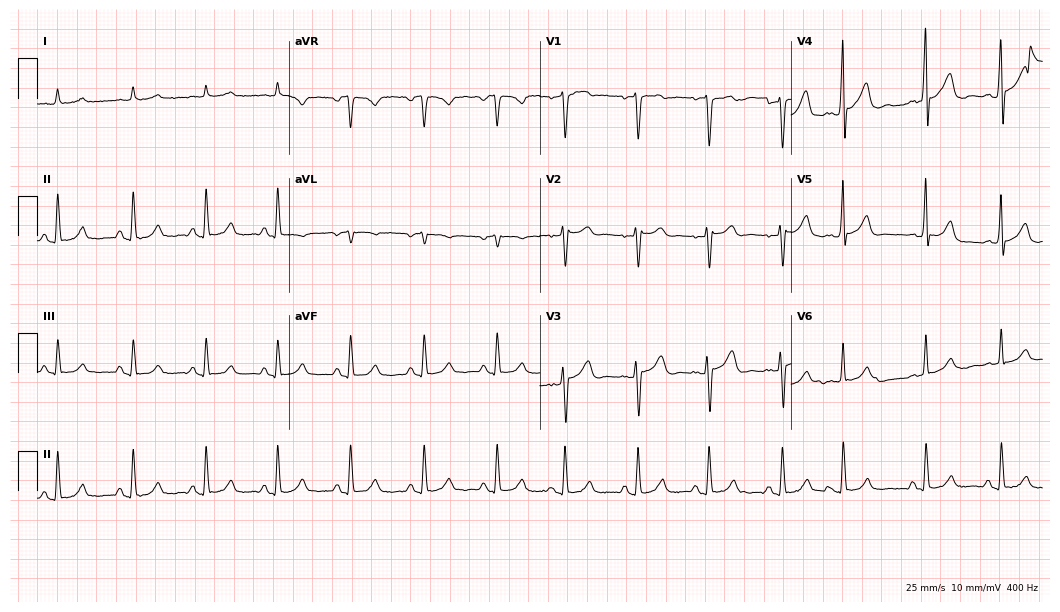
Electrocardiogram, a 67-year-old male patient. Of the six screened findings (first-degree AV block, right bundle branch block, left bundle branch block, sinus bradycardia, atrial fibrillation, sinus tachycardia), none is recorded. Other findings, if any, are not listed.